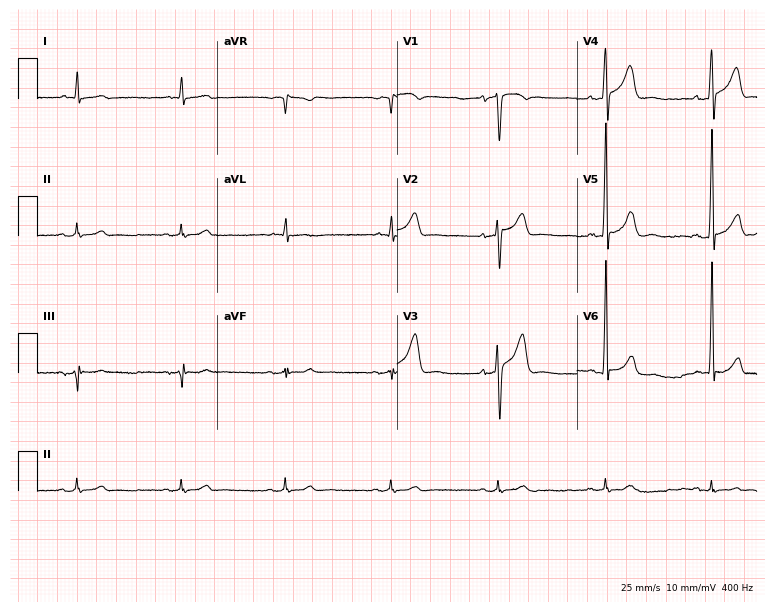
12-lead ECG (7.3-second recording at 400 Hz) from a 65-year-old male. Labelled as a normal ECG.